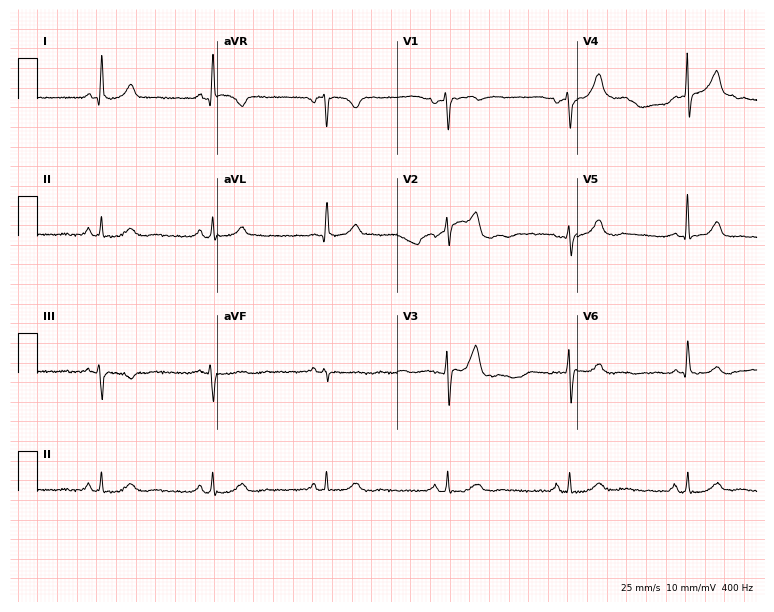
ECG (7.3-second recording at 400 Hz) — a 59-year-old female patient. Labelled as a normal ECG.